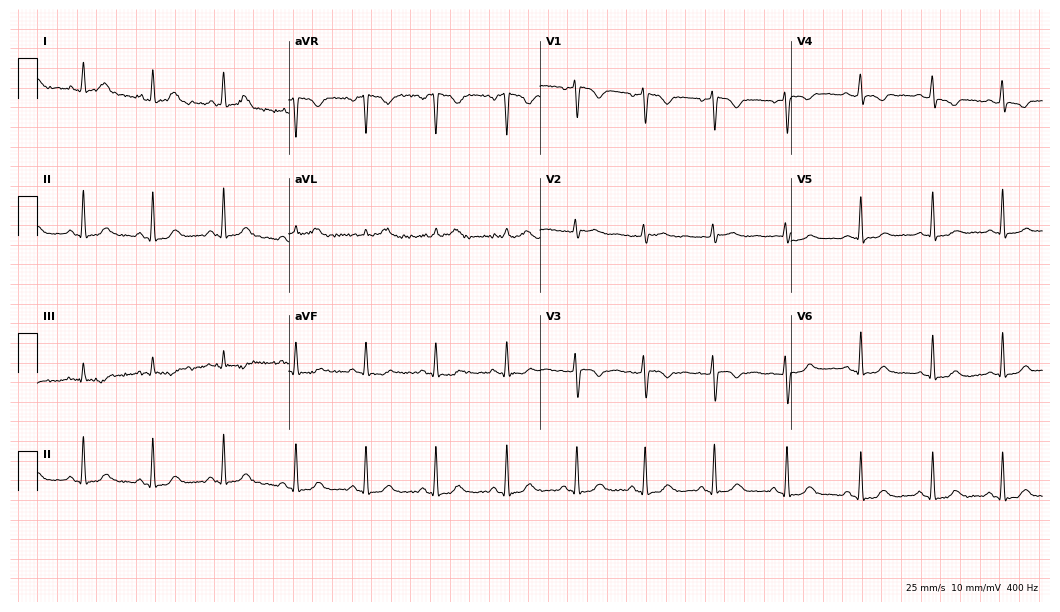
Resting 12-lead electrocardiogram (10.2-second recording at 400 Hz). Patient: a 30-year-old female. Read as a normal ECG.